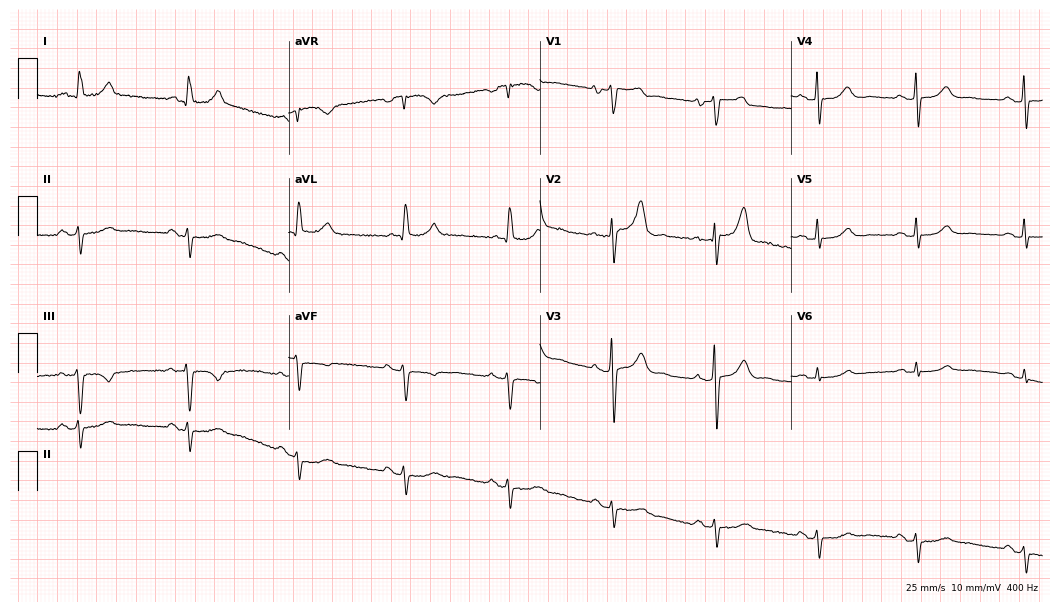
Electrocardiogram (10.2-second recording at 400 Hz), a man, 85 years old. Of the six screened findings (first-degree AV block, right bundle branch block, left bundle branch block, sinus bradycardia, atrial fibrillation, sinus tachycardia), none is recorded. Findings outside these six are not listed.